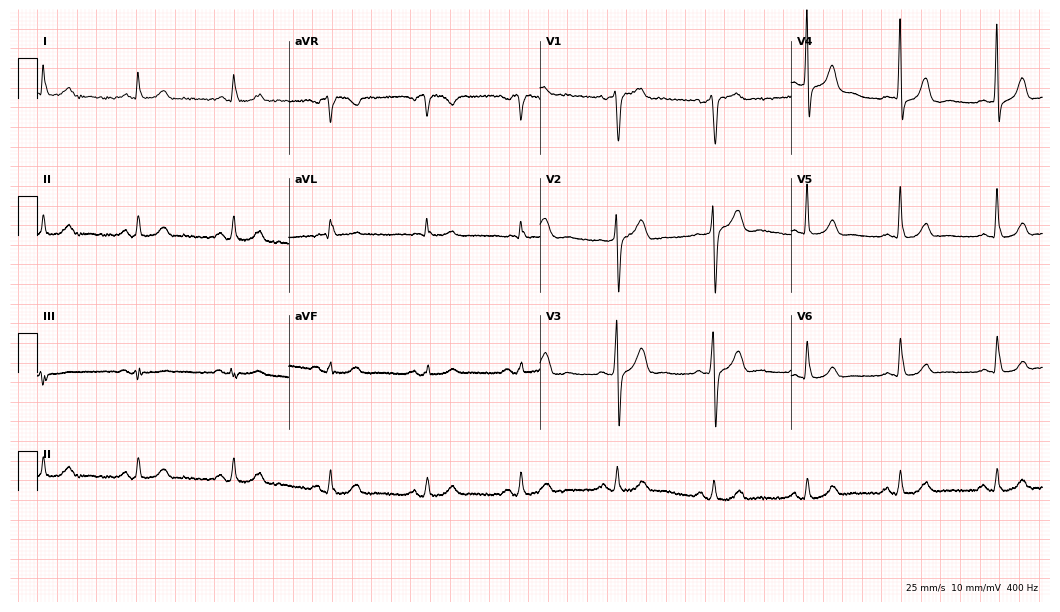
Resting 12-lead electrocardiogram (10.2-second recording at 400 Hz). Patient: a man, 47 years old. Read as a normal ECG.